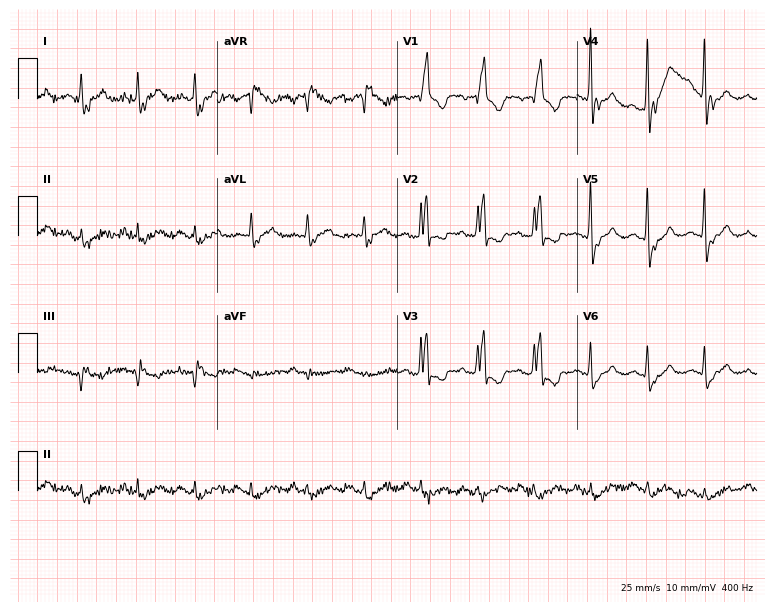
ECG (7.3-second recording at 400 Hz) — a 78-year-old male patient. Findings include right bundle branch block.